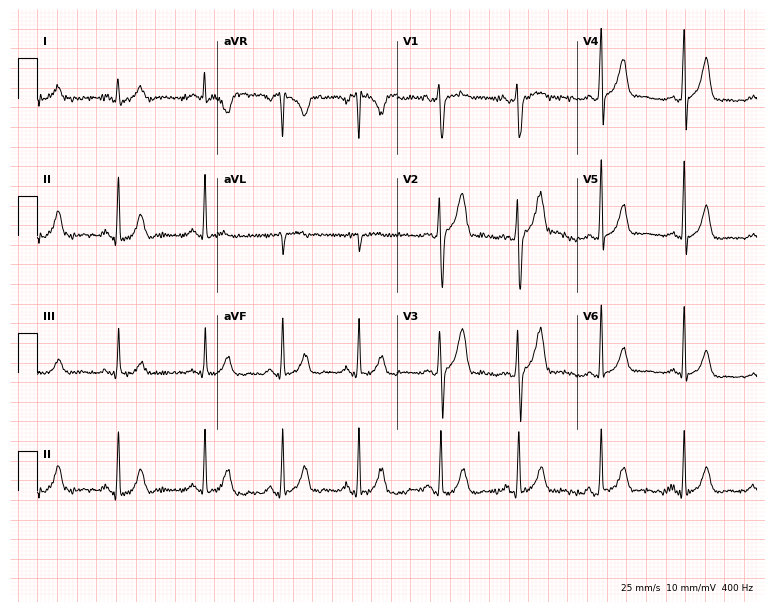
ECG (7.3-second recording at 400 Hz) — a male patient, 25 years old. Labelled as a normal ECG.